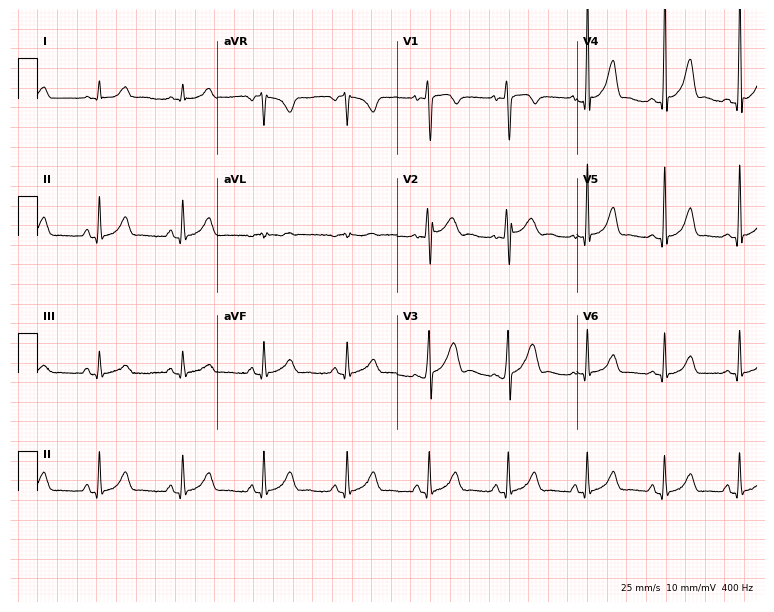
12-lead ECG from a woman, 18 years old. Labelled as a normal ECG.